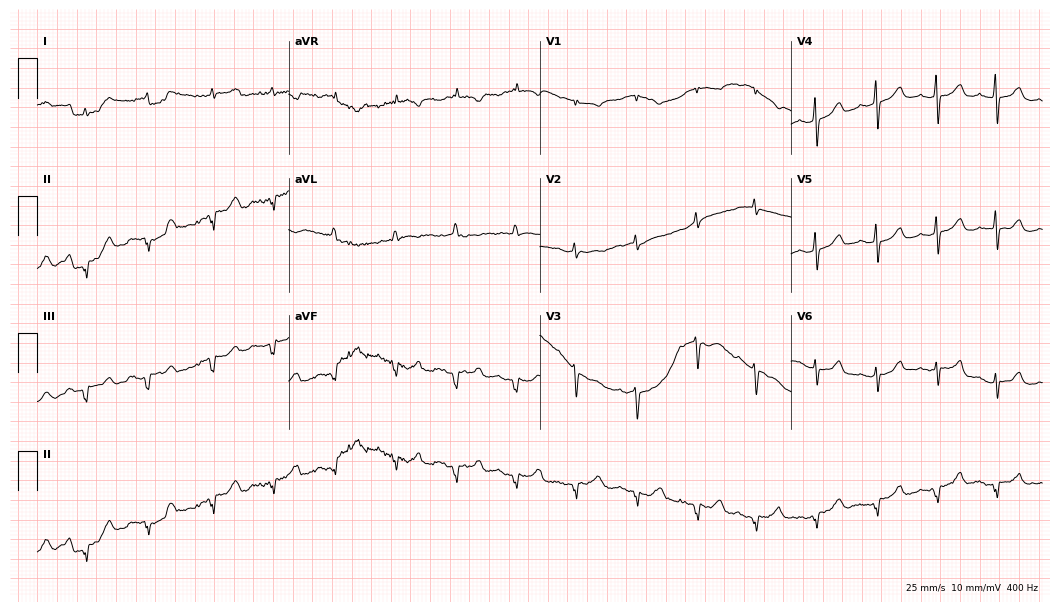
Electrocardiogram (10.2-second recording at 400 Hz), a 68-year-old female patient. Of the six screened findings (first-degree AV block, right bundle branch block (RBBB), left bundle branch block (LBBB), sinus bradycardia, atrial fibrillation (AF), sinus tachycardia), none is recorded.